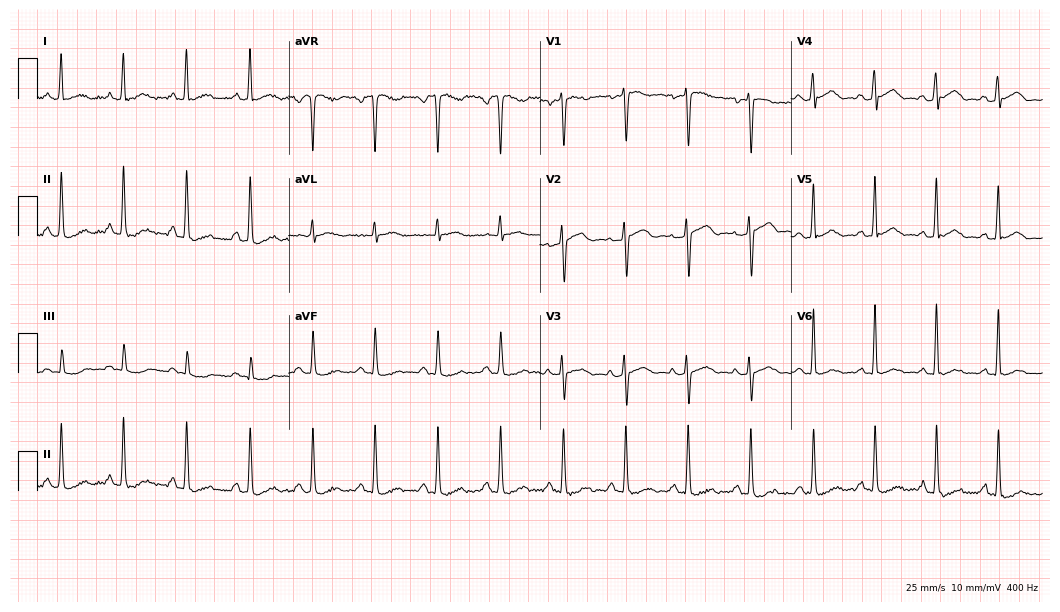
12-lead ECG from a 49-year-old woman. Recorded interpretation: within normal limits.